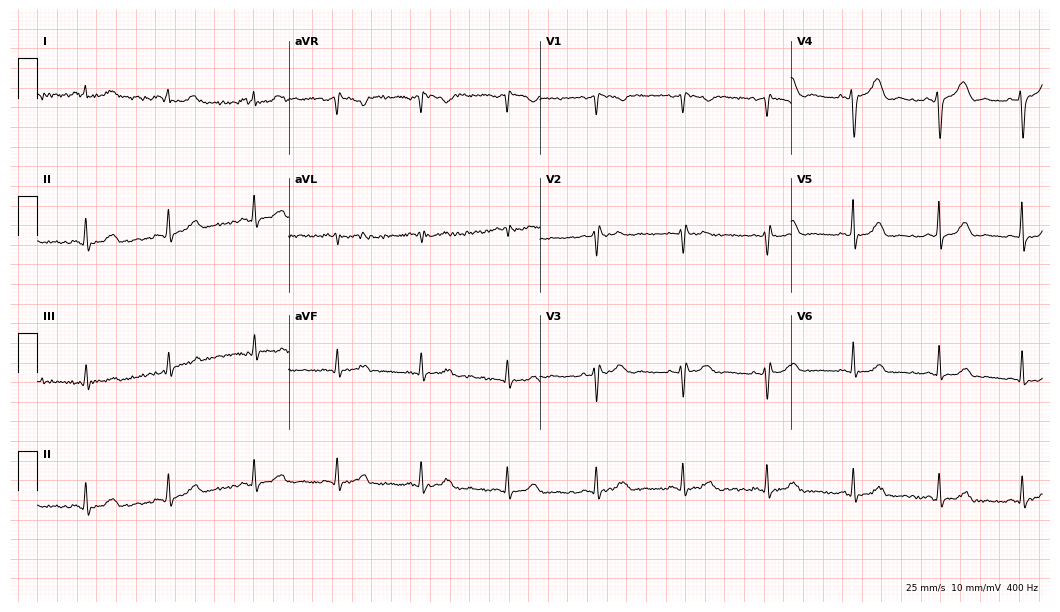
Electrocardiogram, a woman, 31 years old. Of the six screened findings (first-degree AV block, right bundle branch block (RBBB), left bundle branch block (LBBB), sinus bradycardia, atrial fibrillation (AF), sinus tachycardia), none is recorded.